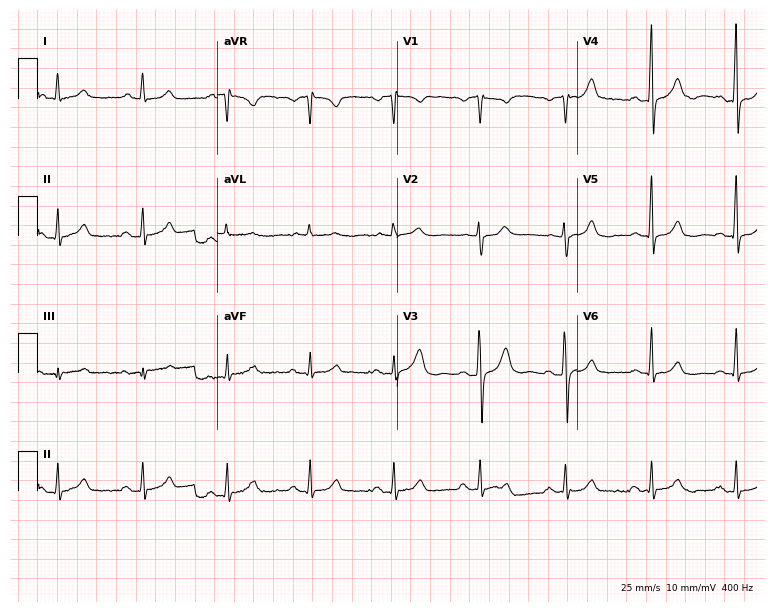
Standard 12-lead ECG recorded from a 66-year-old man (7.3-second recording at 400 Hz). Read as a normal ECG.